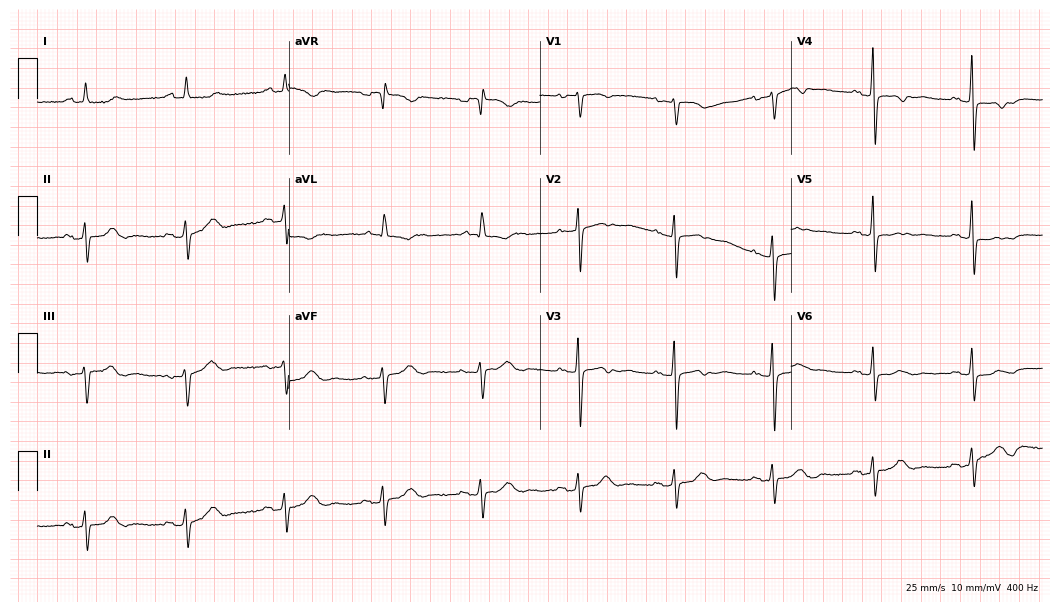
Standard 12-lead ECG recorded from a 78-year-old female. None of these six findings is recorded: first-degree AV block, right bundle branch block, left bundle branch block, sinus bradycardia, atrial fibrillation, sinus tachycardia. Findings outside these six are not listed.